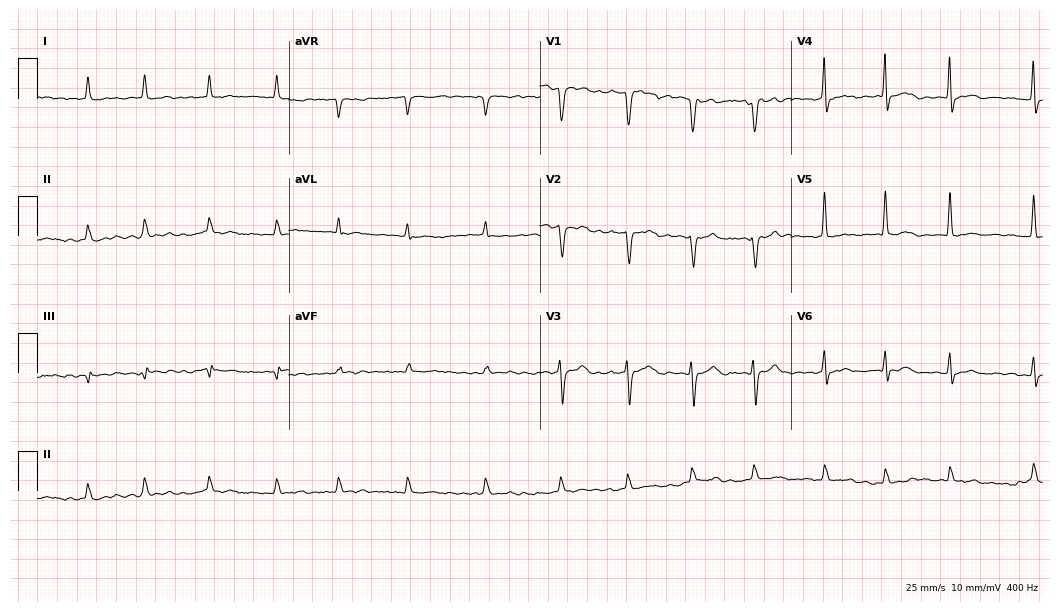
Resting 12-lead electrocardiogram. Patient: a 70-year-old woman. The tracing shows atrial fibrillation.